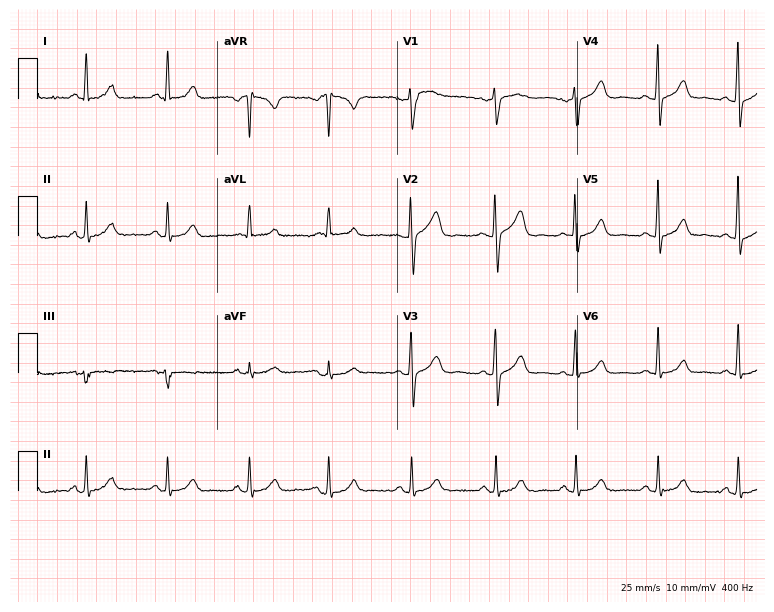
12-lead ECG from a female patient, 64 years old. Labelled as a normal ECG.